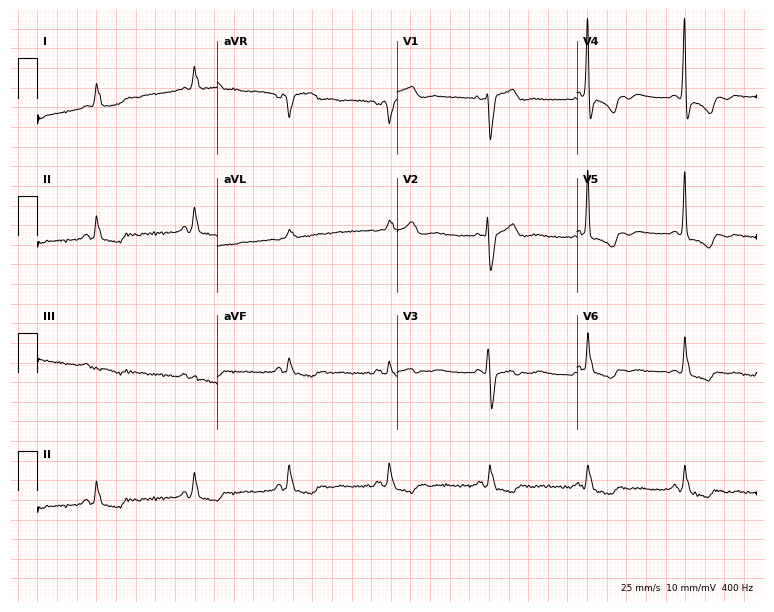
Standard 12-lead ECG recorded from a 76-year-old male. None of these six findings is recorded: first-degree AV block, right bundle branch block, left bundle branch block, sinus bradycardia, atrial fibrillation, sinus tachycardia.